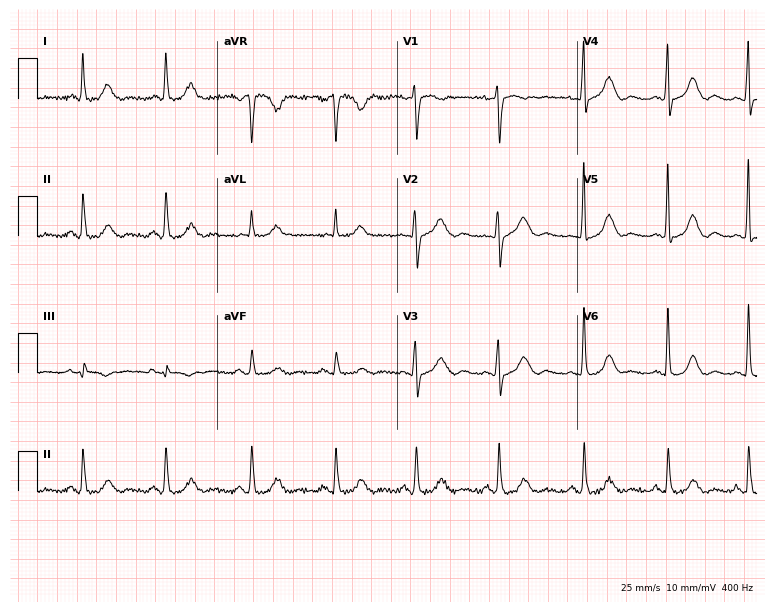
12-lead ECG (7.3-second recording at 400 Hz) from a 64-year-old female patient. Labelled as a normal ECG.